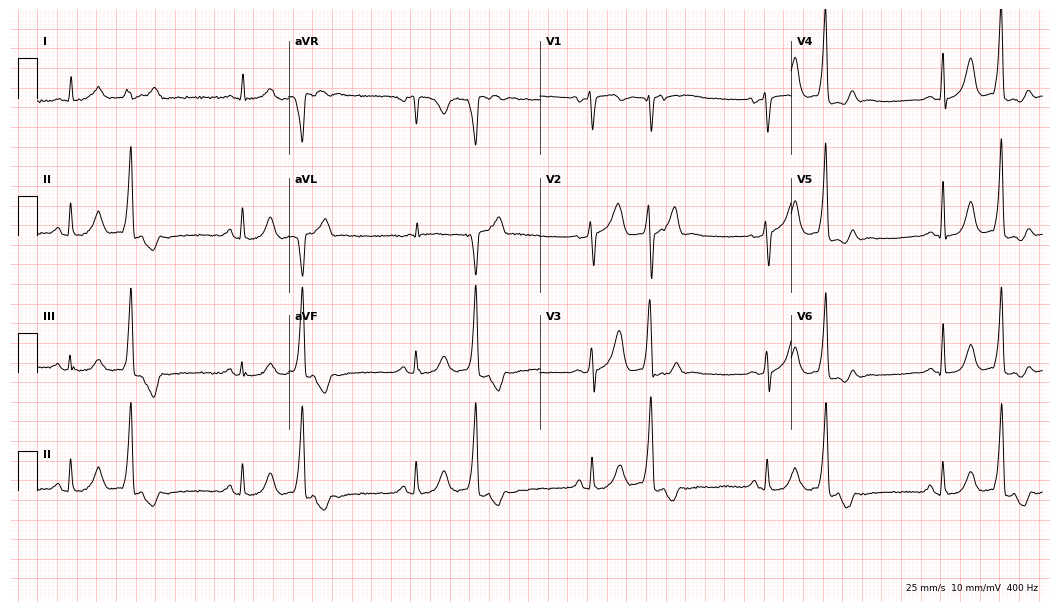
12-lead ECG (10.2-second recording at 400 Hz) from a male, 84 years old. Screened for six findings — first-degree AV block, right bundle branch block, left bundle branch block, sinus bradycardia, atrial fibrillation, sinus tachycardia — none is recorded. Other findings, if any, are not listed.